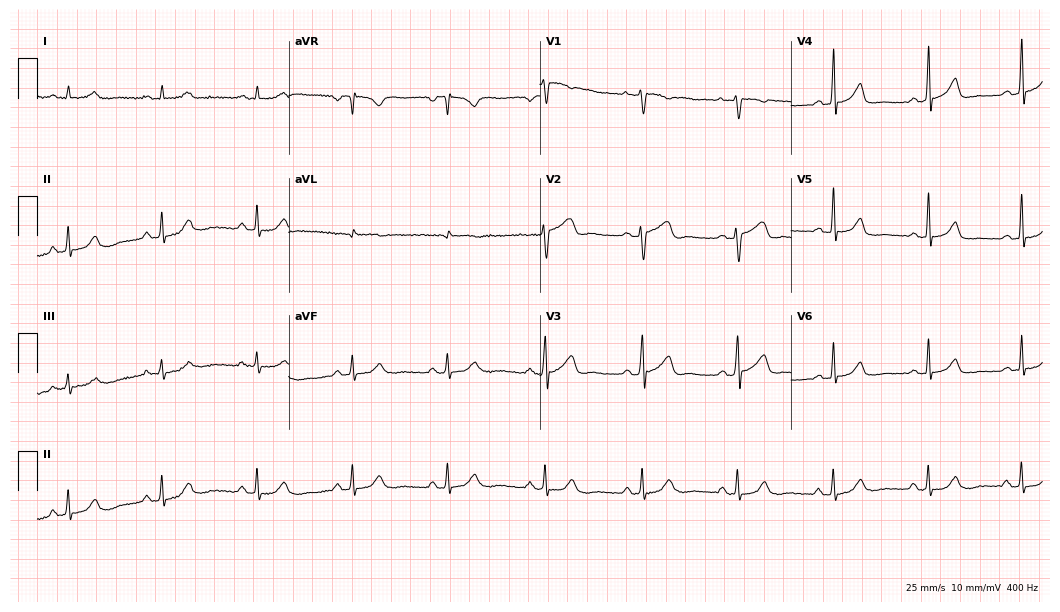
12-lead ECG (10.2-second recording at 400 Hz) from a 45-year-old female patient. Screened for six findings — first-degree AV block, right bundle branch block, left bundle branch block, sinus bradycardia, atrial fibrillation, sinus tachycardia — none is recorded.